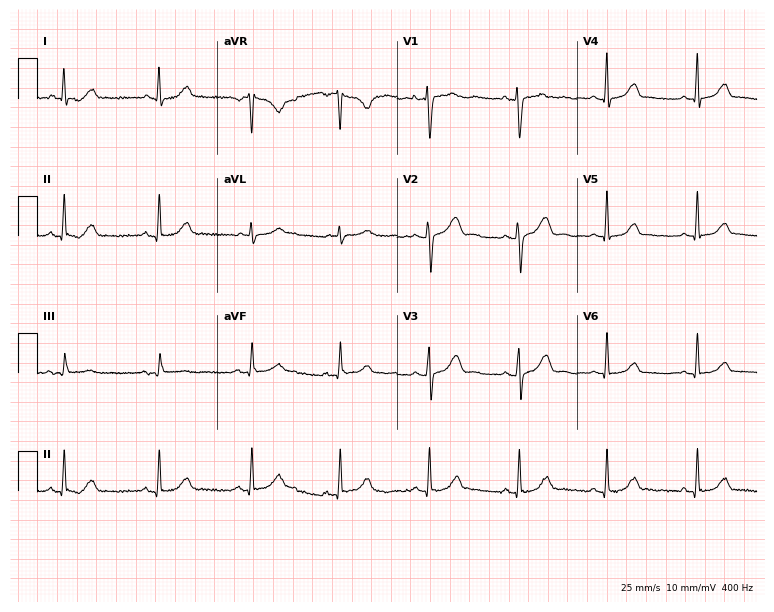
Resting 12-lead electrocardiogram (7.3-second recording at 400 Hz). Patient: a woman, 41 years old. Read as a normal ECG.